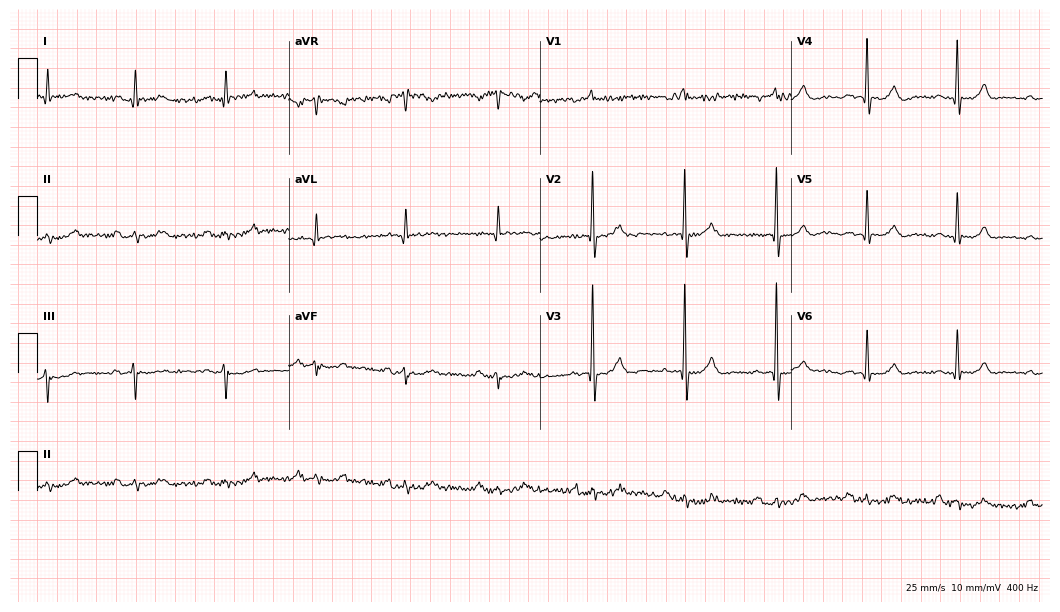
Standard 12-lead ECG recorded from a man, 83 years old. None of these six findings is recorded: first-degree AV block, right bundle branch block, left bundle branch block, sinus bradycardia, atrial fibrillation, sinus tachycardia.